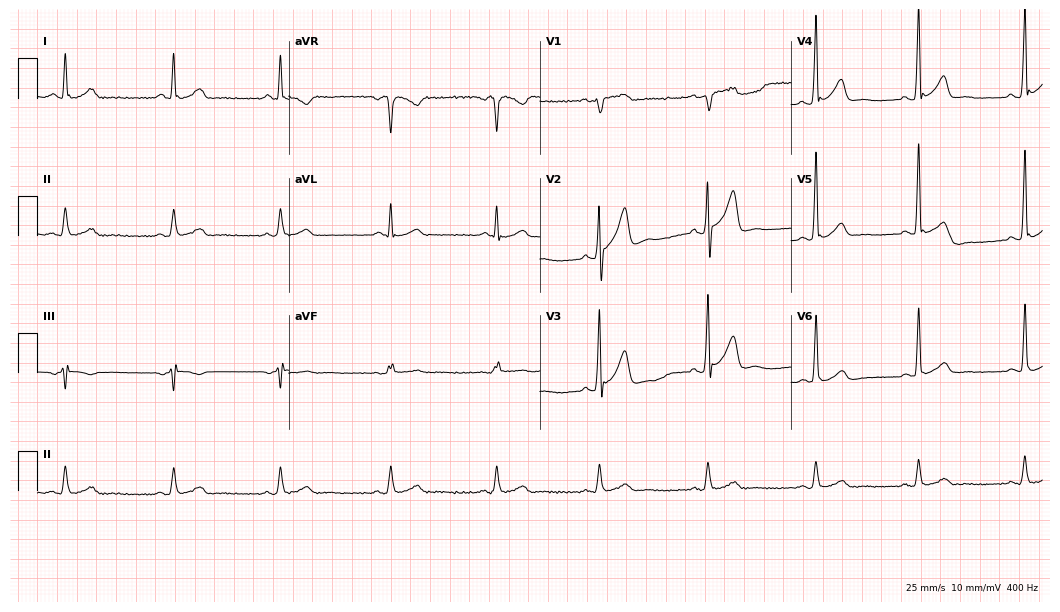
Standard 12-lead ECG recorded from a man, 45 years old (10.2-second recording at 400 Hz). Read as a normal ECG.